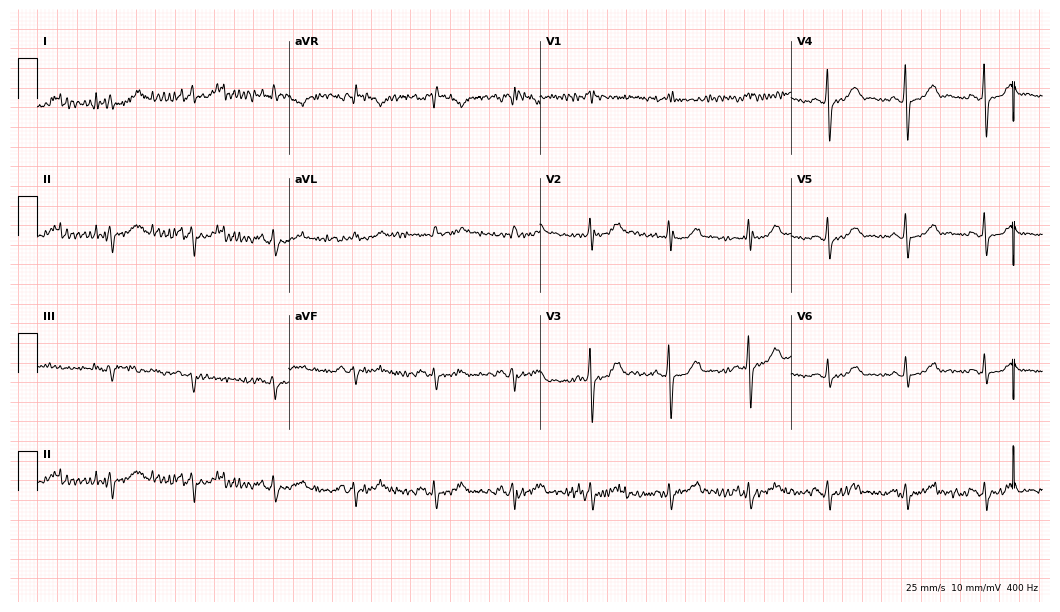
Resting 12-lead electrocardiogram. Patient: a woman, 77 years old. None of these six findings is recorded: first-degree AV block, right bundle branch block, left bundle branch block, sinus bradycardia, atrial fibrillation, sinus tachycardia. Findings outside these six are not listed.